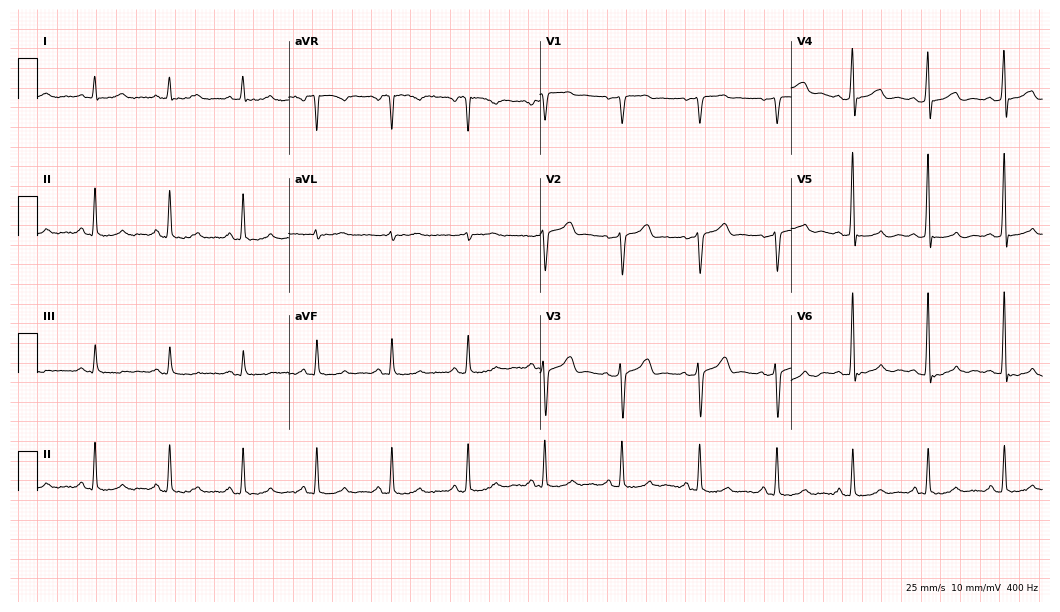
Standard 12-lead ECG recorded from a man, 50 years old (10.2-second recording at 400 Hz). None of these six findings is recorded: first-degree AV block, right bundle branch block, left bundle branch block, sinus bradycardia, atrial fibrillation, sinus tachycardia.